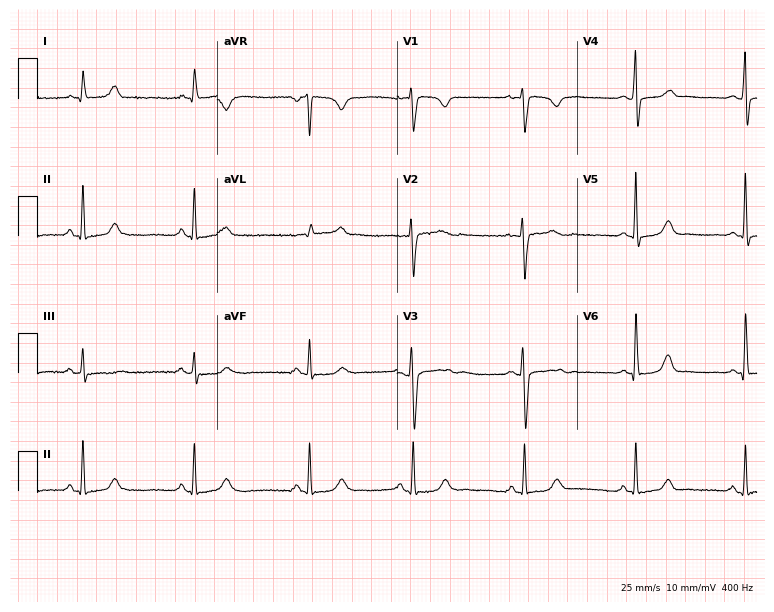
12-lead ECG (7.3-second recording at 400 Hz) from a female patient, 33 years old. Screened for six findings — first-degree AV block, right bundle branch block, left bundle branch block, sinus bradycardia, atrial fibrillation, sinus tachycardia — none is recorded.